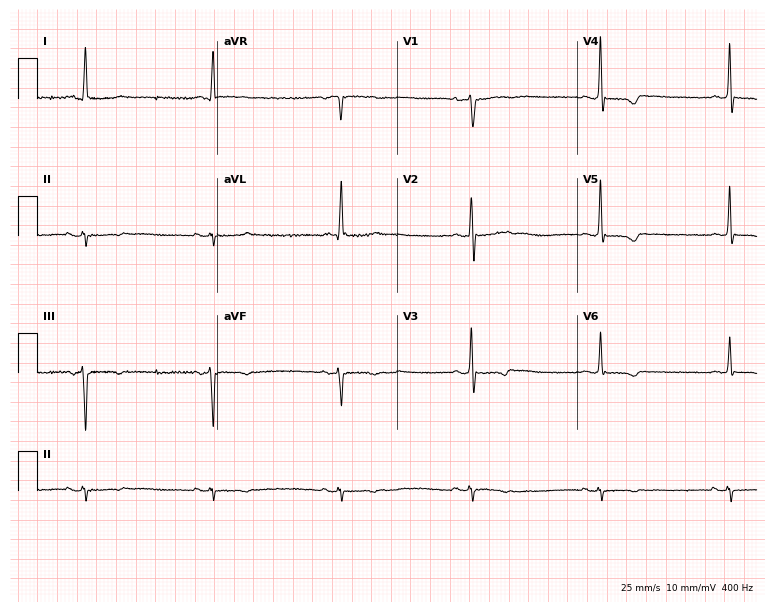
12-lead ECG from a 71-year-old man (7.3-second recording at 400 Hz). Shows sinus bradycardia (a sinus rate of 50 beats per minute or less).